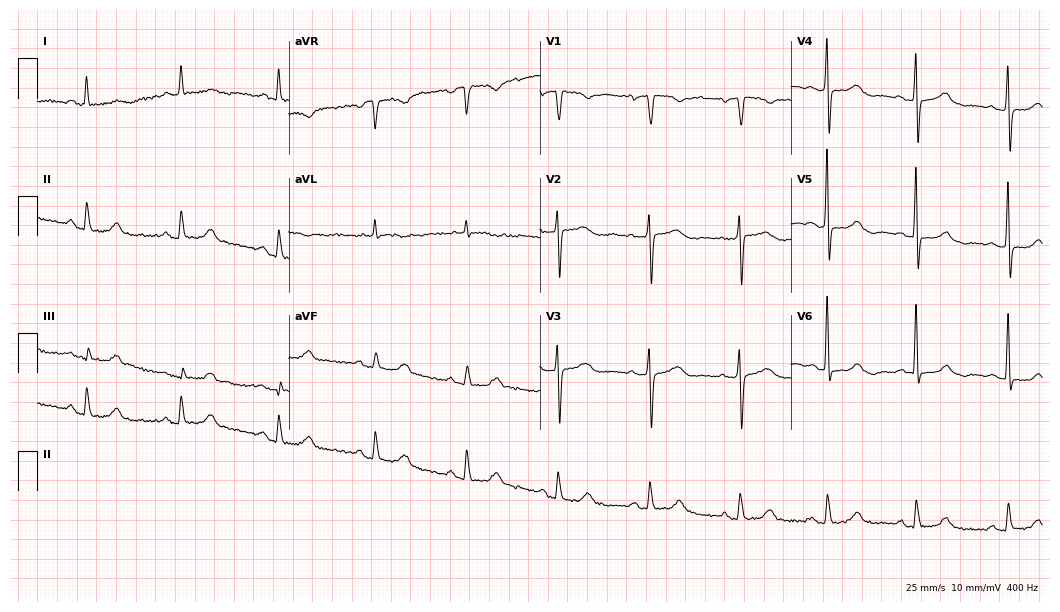
Electrocardiogram (10.2-second recording at 400 Hz), a female, 80 years old. Overall reading on record: normal ECG.